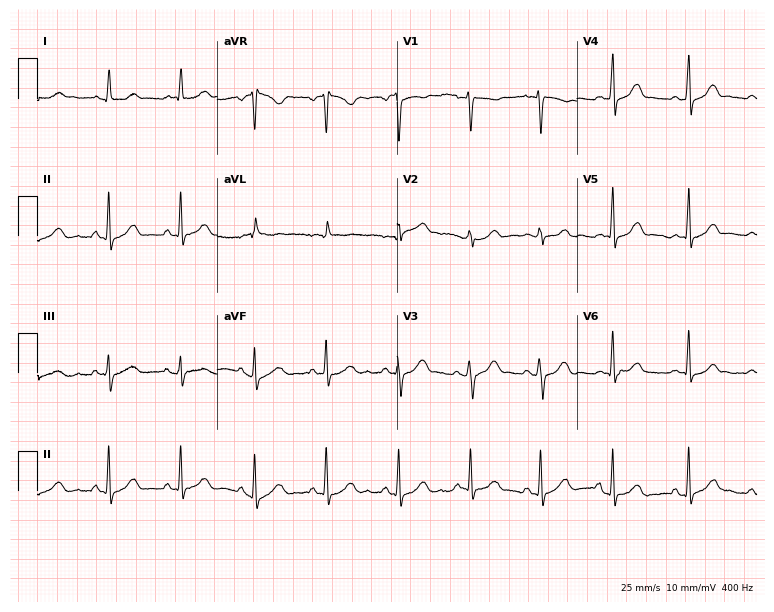
12-lead ECG from a female patient, 42 years old (7.3-second recording at 400 Hz). Recorded interpretation: within normal limits.